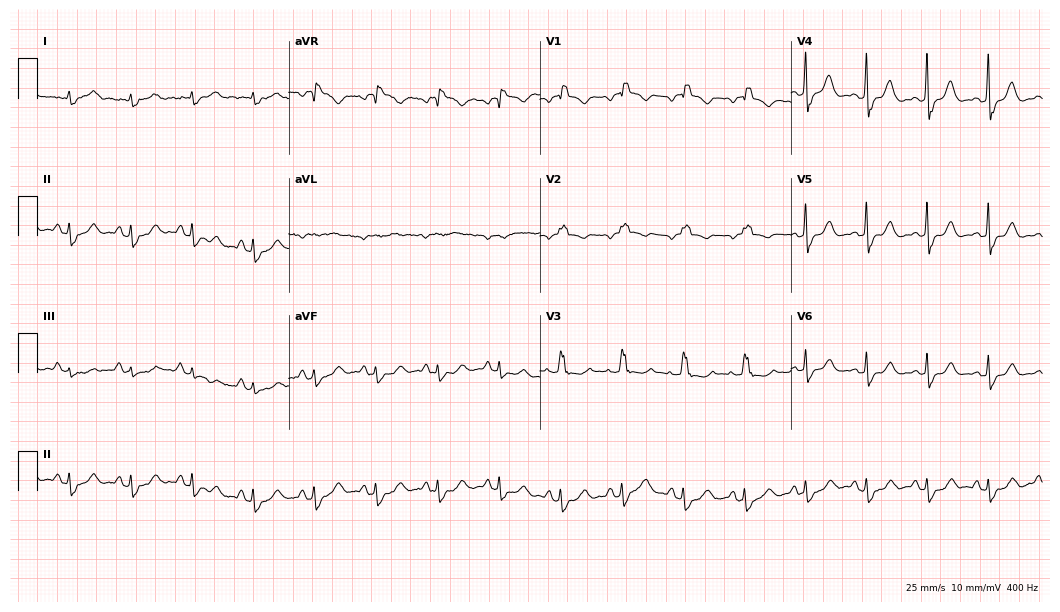
12-lead ECG (10.2-second recording at 400 Hz) from a 76-year-old female patient. Findings include right bundle branch block (RBBB).